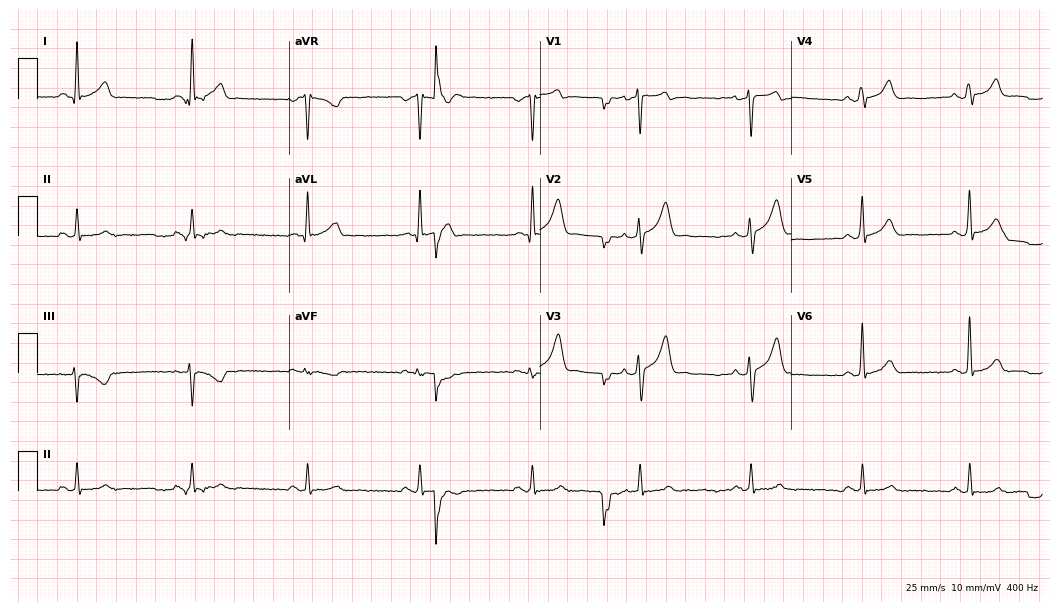
ECG (10.2-second recording at 400 Hz) — a male patient, 52 years old. Labelled as a normal ECG.